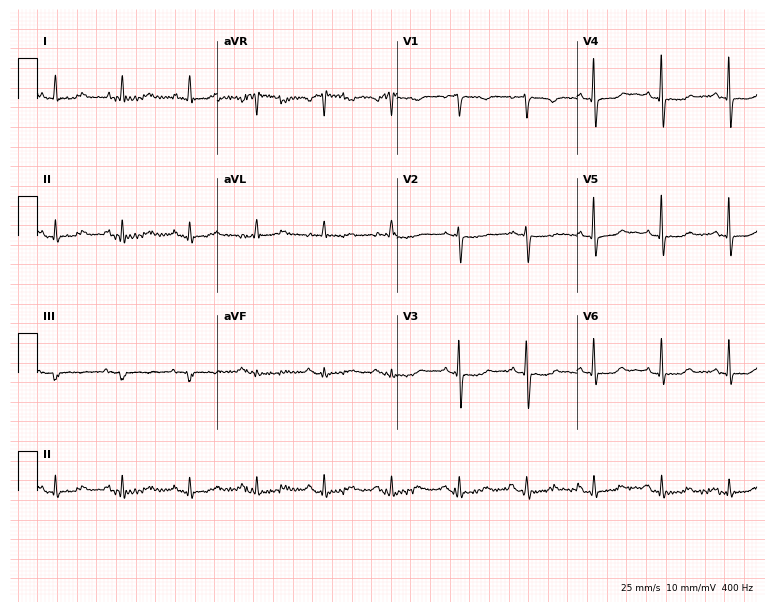
Standard 12-lead ECG recorded from a 71-year-old woman. Read as a normal ECG.